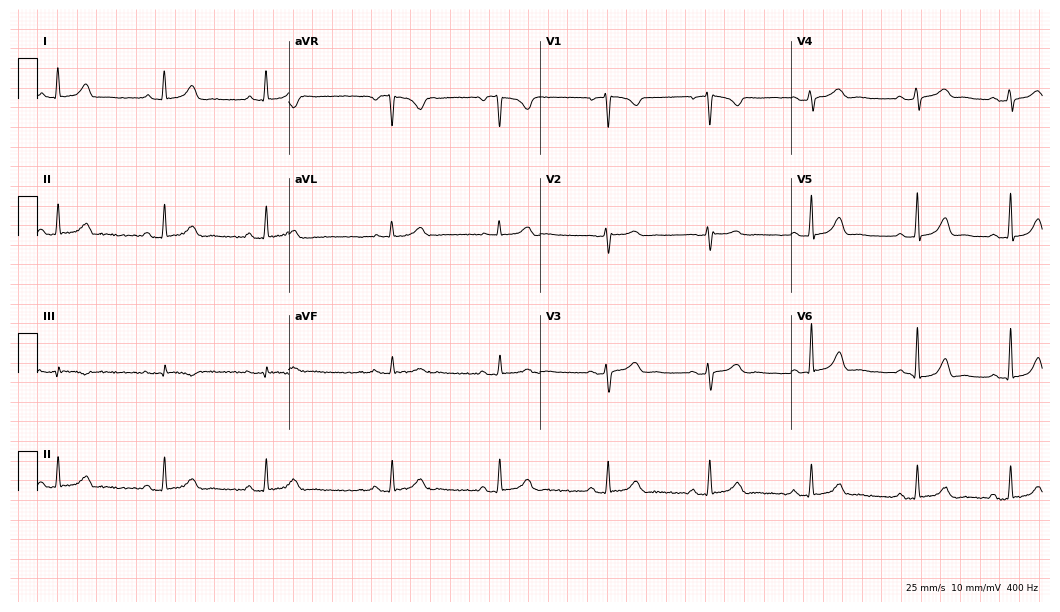
Standard 12-lead ECG recorded from a 28-year-old woman (10.2-second recording at 400 Hz). Read as a normal ECG.